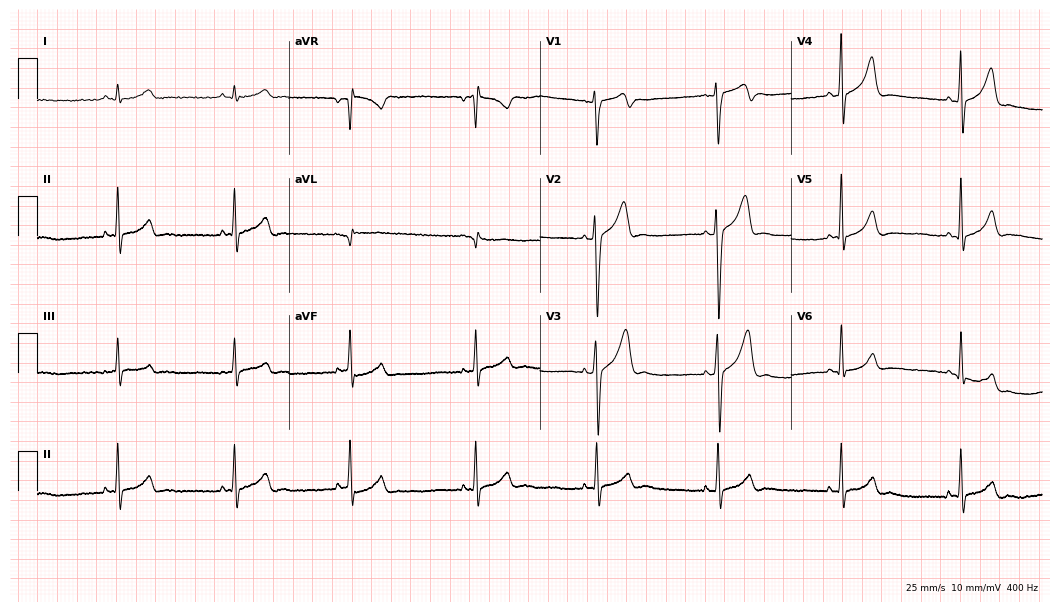
Standard 12-lead ECG recorded from a man, 28 years old. The tracing shows sinus bradycardia (a sinus rate of 50 beats per minute or less).